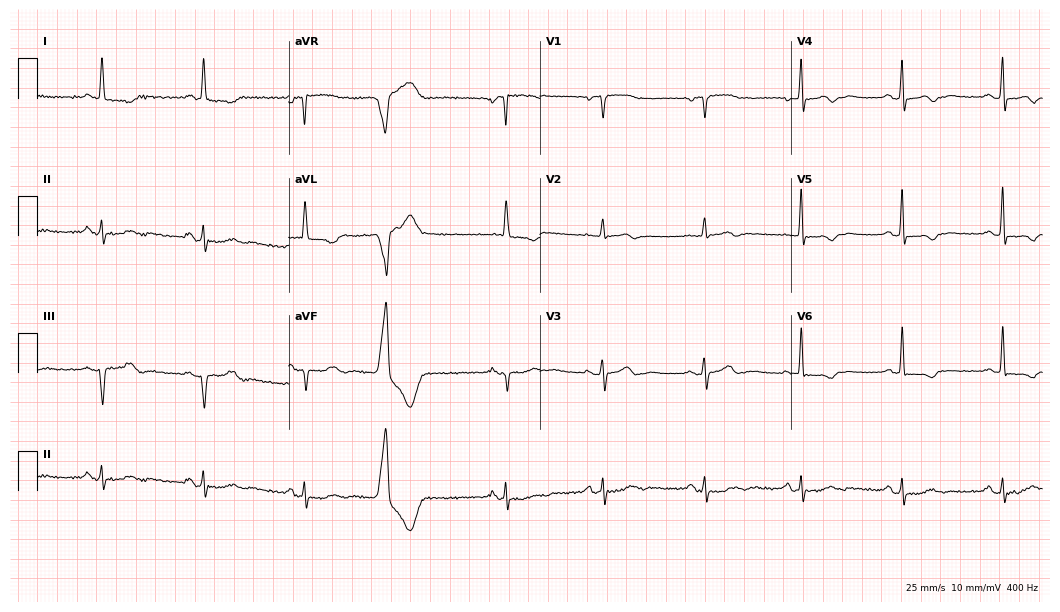
Electrocardiogram, a female patient, 71 years old. Of the six screened findings (first-degree AV block, right bundle branch block (RBBB), left bundle branch block (LBBB), sinus bradycardia, atrial fibrillation (AF), sinus tachycardia), none is recorded. Only these six findings were labelled.